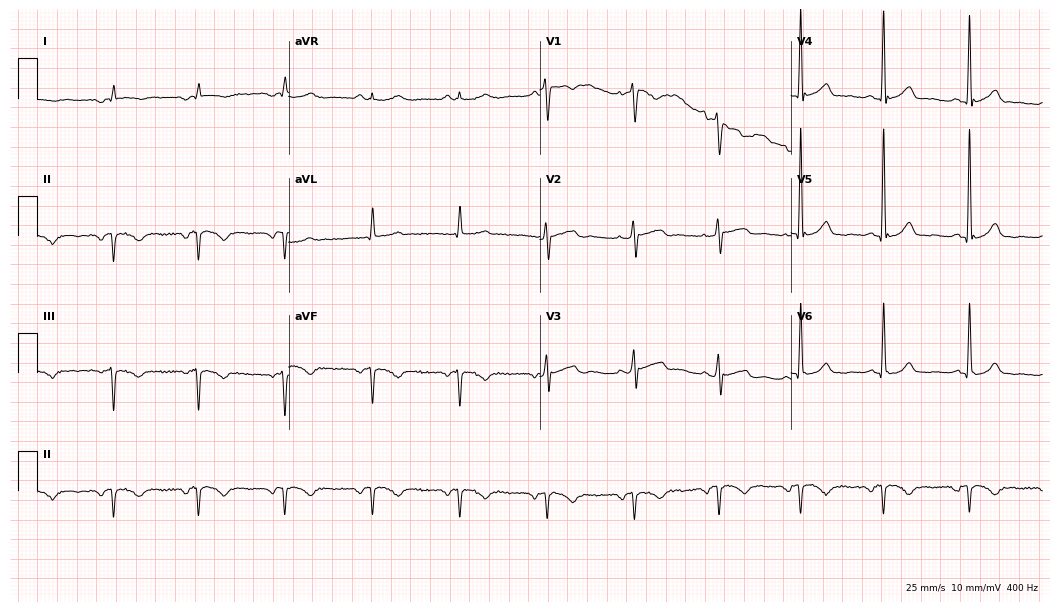
12-lead ECG (10.2-second recording at 400 Hz) from a 70-year-old man. Screened for six findings — first-degree AV block, right bundle branch block (RBBB), left bundle branch block (LBBB), sinus bradycardia, atrial fibrillation (AF), sinus tachycardia — none is recorded. Findings outside these six are not listed.